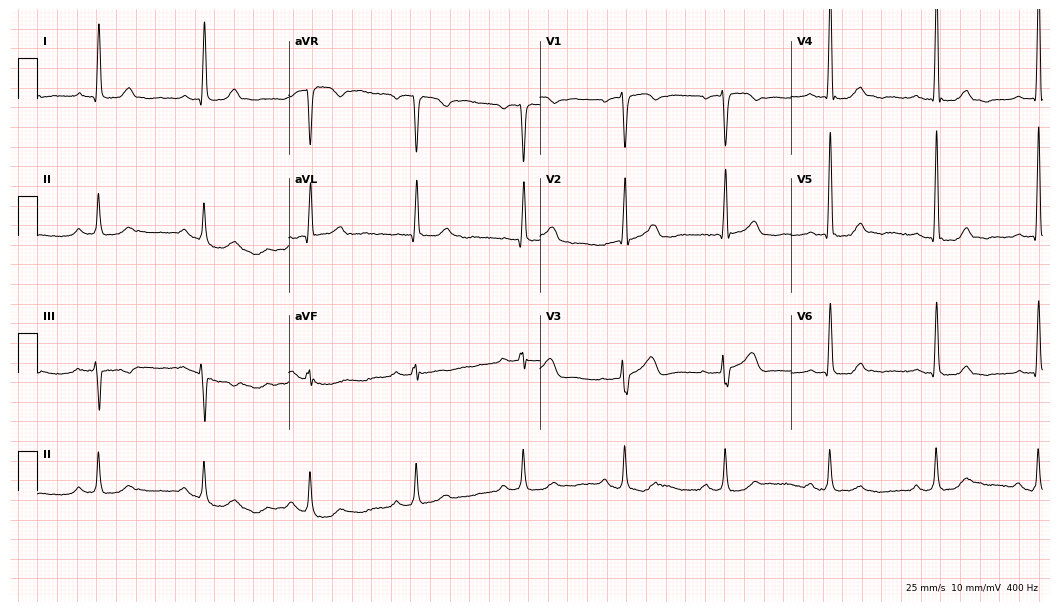
Resting 12-lead electrocardiogram (10.2-second recording at 400 Hz). Patient: a 54-year-old female. None of these six findings is recorded: first-degree AV block, right bundle branch block (RBBB), left bundle branch block (LBBB), sinus bradycardia, atrial fibrillation (AF), sinus tachycardia. Findings outside these six are not listed.